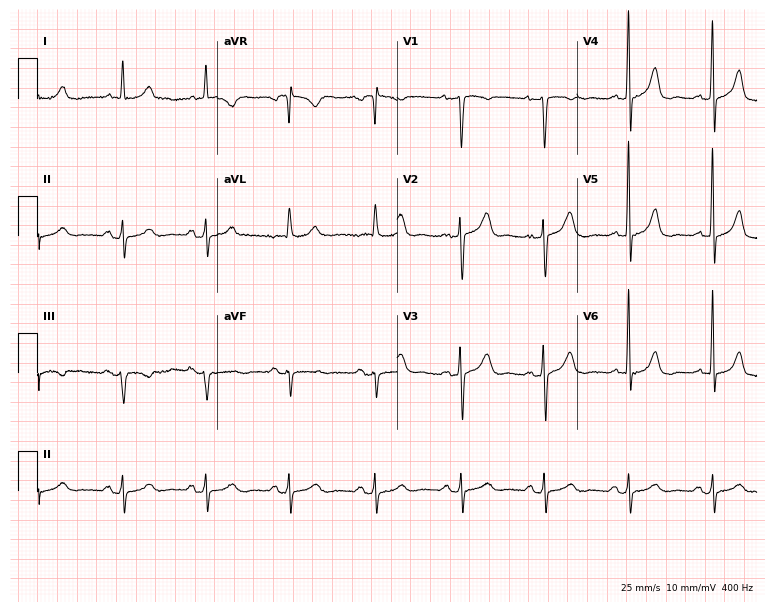
12-lead ECG (7.3-second recording at 400 Hz) from a 65-year-old female patient. Screened for six findings — first-degree AV block, right bundle branch block (RBBB), left bundle branch block (LBBB), sinus bradycardia, atrial fibrillation (AF), sinus tachycardia — none is recorded. Other findings, if any, are not listed.